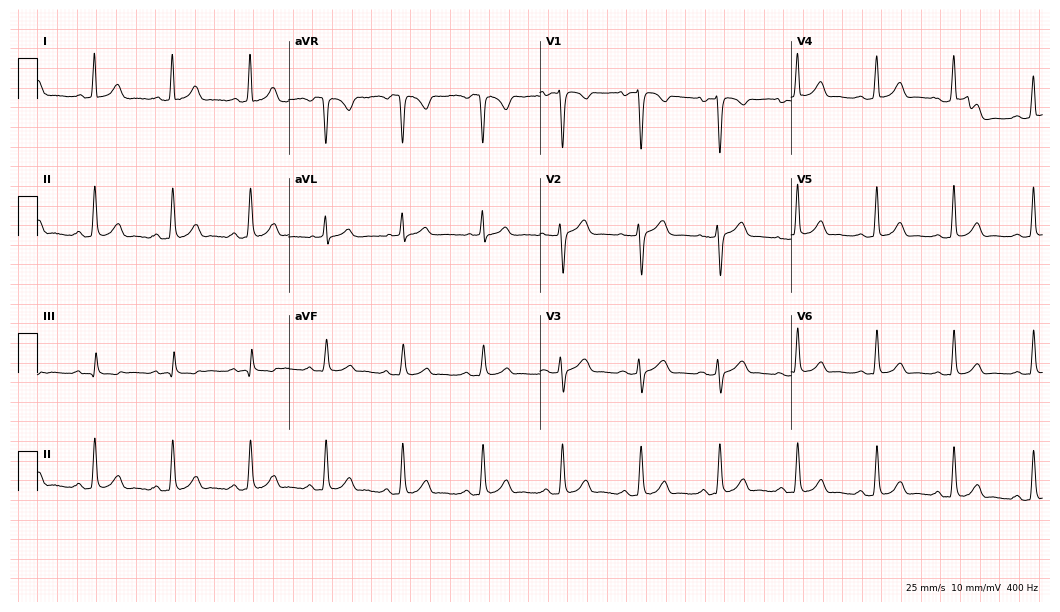
12-lead ECG (10.2-second recording at 400 Hz) from a female, 32 years old. Labelled as a normal ECG.